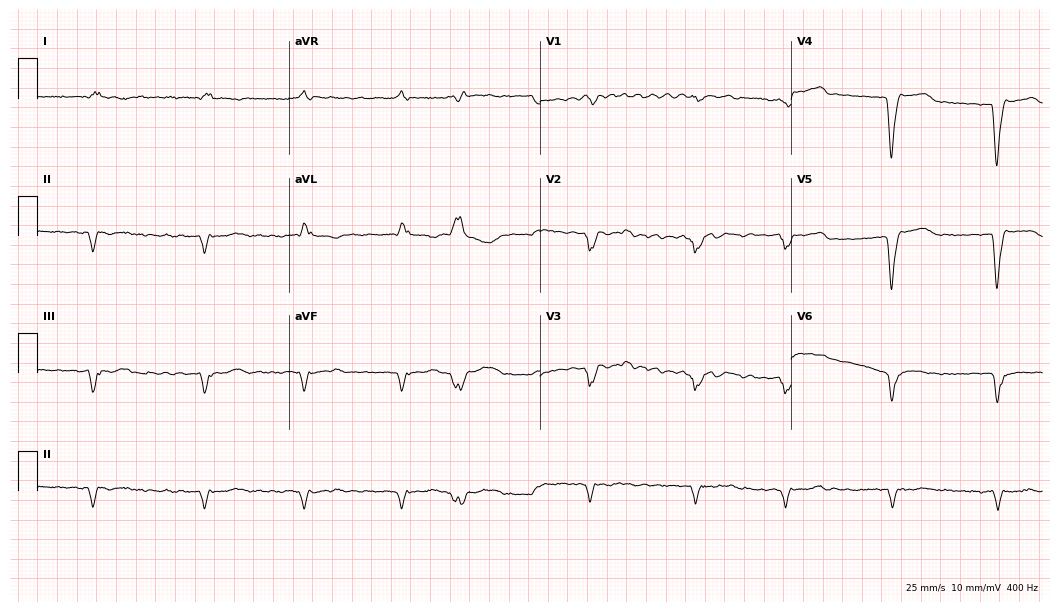
12-lead ECG from a male, 66 years old. Screened for six findings — first-degree AV block, right bundle branch block, left bundle branch block, sinus bradycardia, atrial fibrillation, sinus tachycardia — none is recorded.